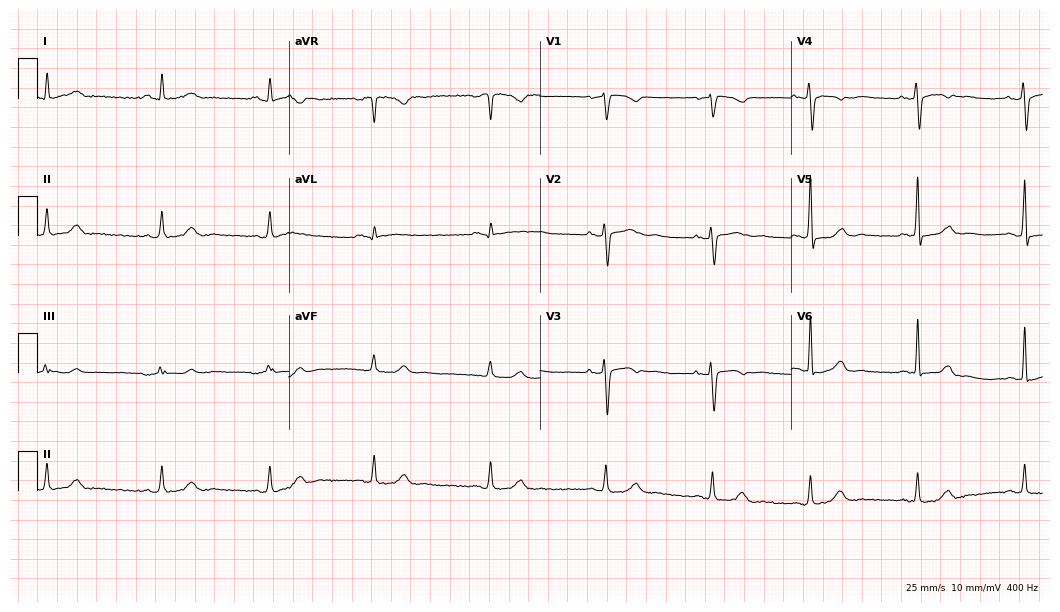
12-lead ECG from a woman, 55 years old. Recorded interpretation: within normal limits.